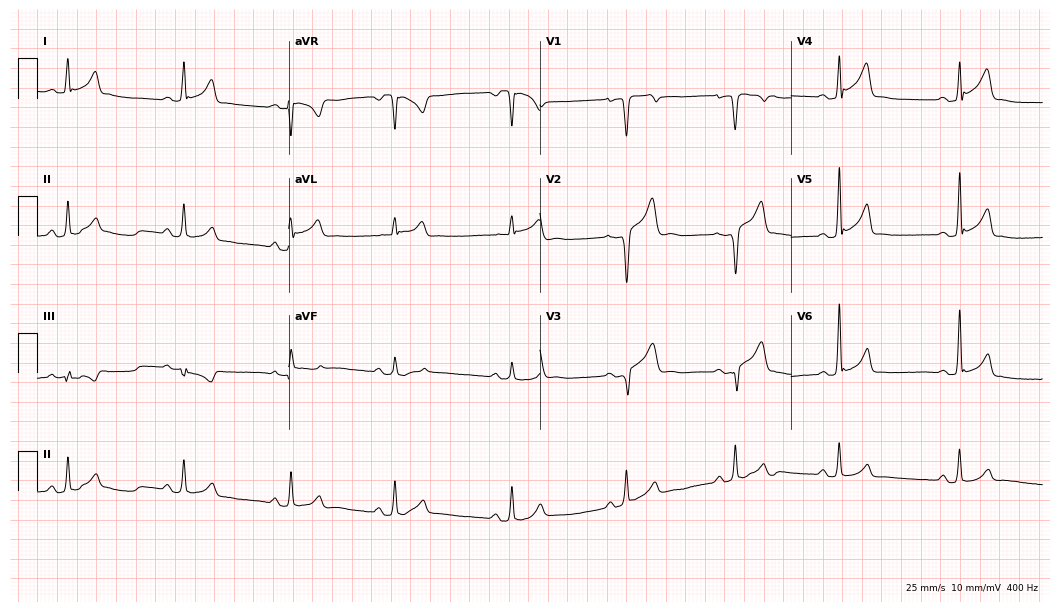
Resting 12-lead electrocardiogram. Patient: a male, 32 years old. Read as a normal ECG.